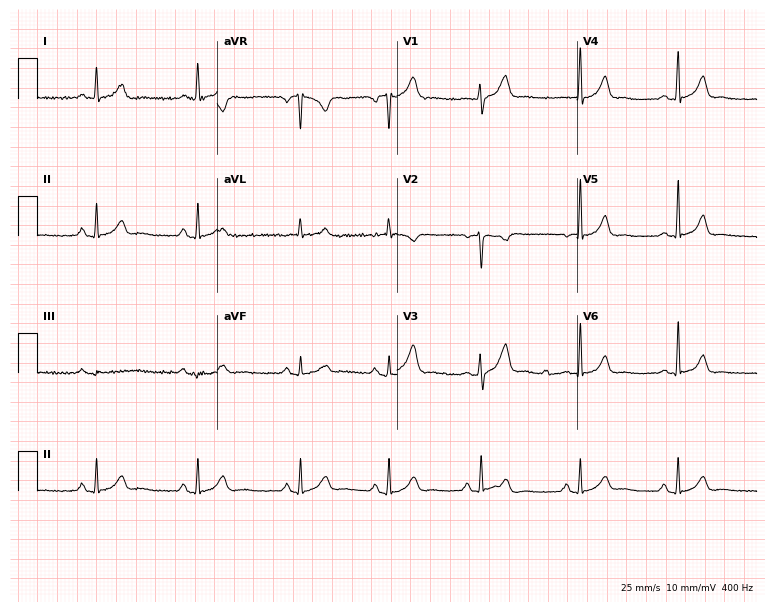
ECG — a 33-year-old woman. Labelled as a normal ECG.